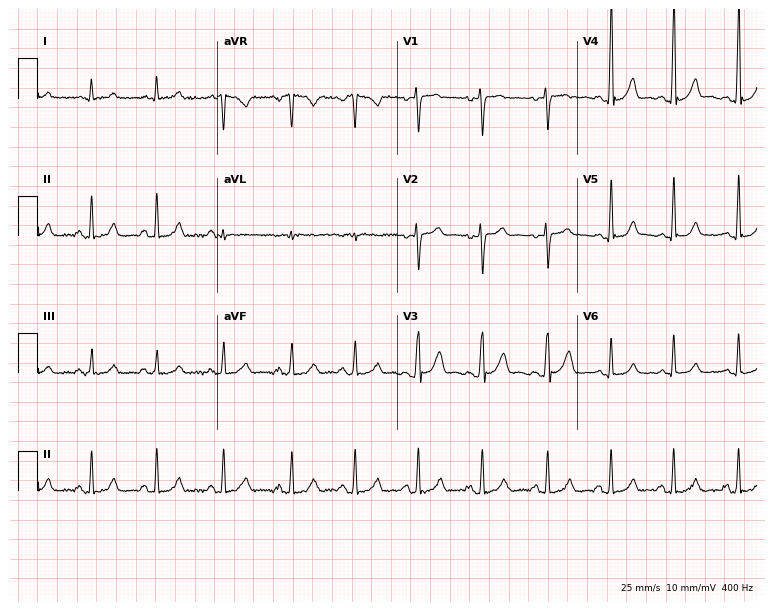
ECG — a woman, 30 years old. Labelled as a normal ECG.